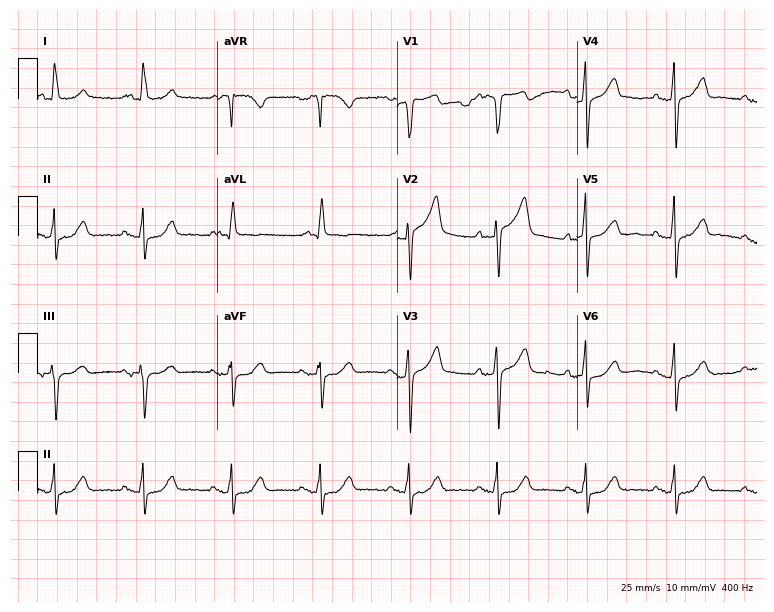
Resting 12-lead electrocardiogram (7.3-second recording at 400 Hz). Patient: a male, 68 years old. Read as a normal ECG.